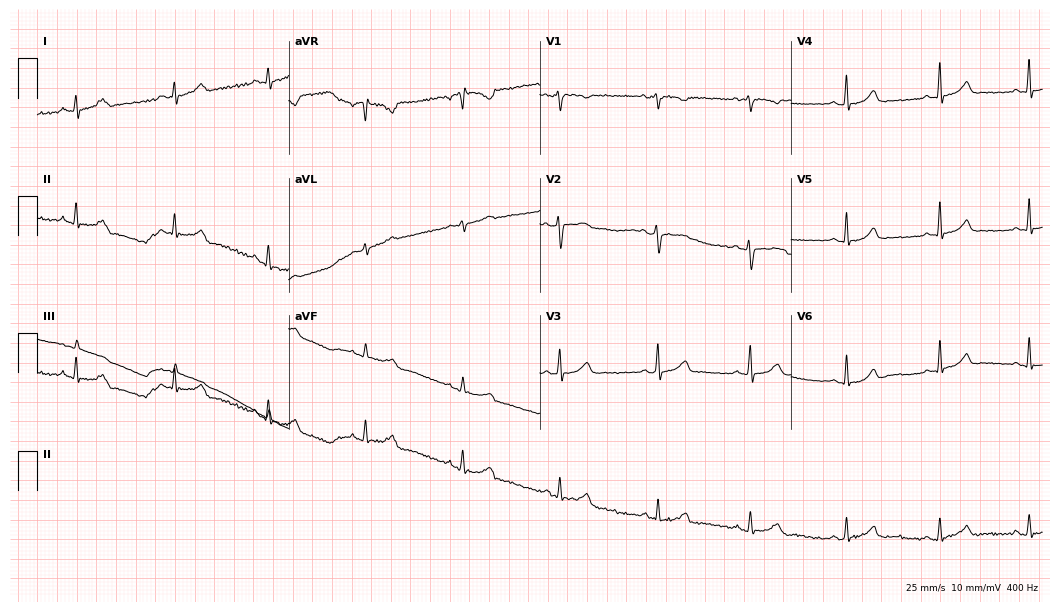
Electrocardiogram (10.2-second recording at 400 Hz), a 30-year-old woman. Of the six screened findings (first-degree AV block, right bundle branch block (RBBB), left bundle branch block (LBBB), sinus bradycardia, atrial fibrillation (AF), sinus tachycardia), none is recorded.